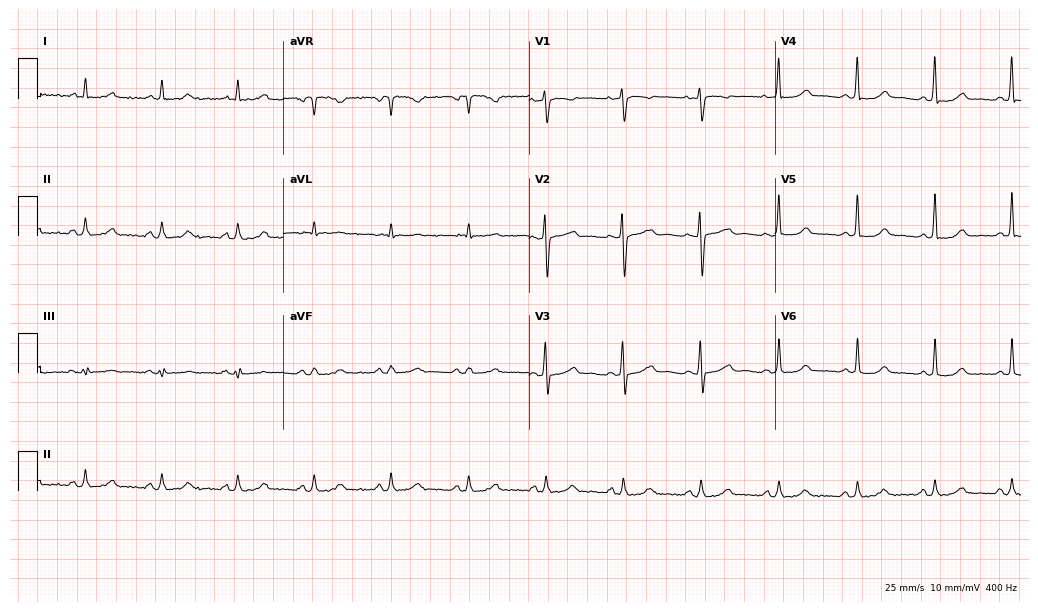
12-lead ECG from a 47-year-old female patient (10-second recording at 400 Hz). Recorded interpretation: within normal limits.